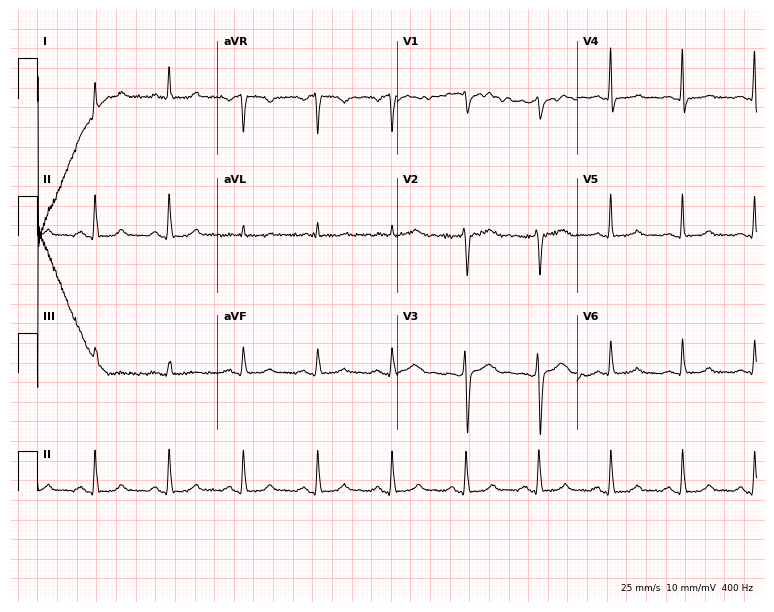
12-lead ECG from a 54-year-old female. Screened for six findings — first-degree AV block, right bundle branch block, left bundle branch block, sinus bradycardia, atrial fibrillation, sinus tachycardia — none is recorded. Findings outside these six are not listed.